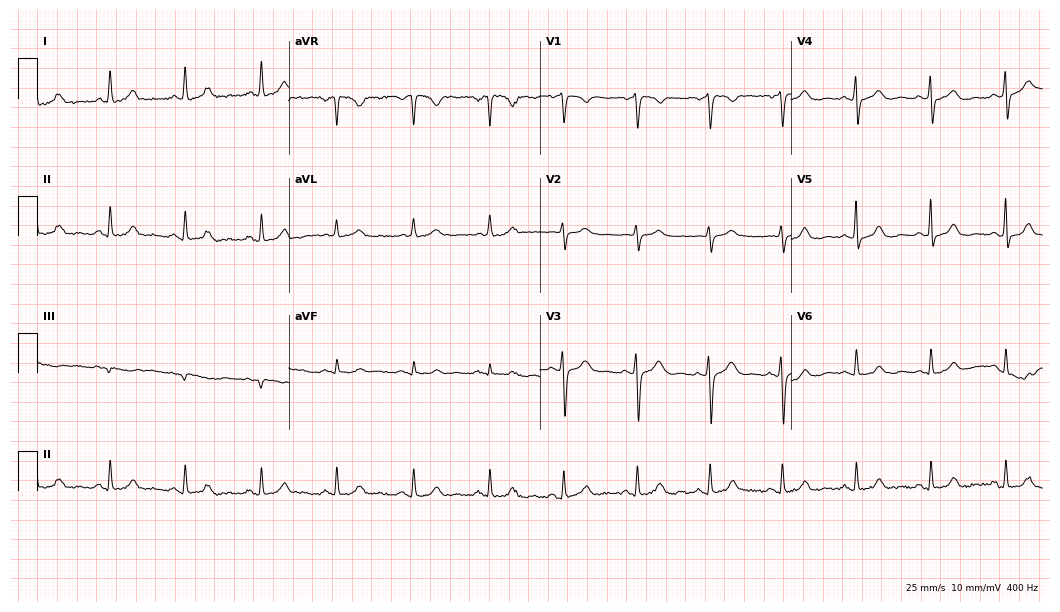
ECG (10.2-second recording at 400 Hz) — a 49-year-old female. Screened for six findings — first-degree AV block, right bundle branch block, left bundle branch block, sinus bradycardia, atrial fibrillation, sinus tachycardia — none is recorded. Findings outside these six are not listed.